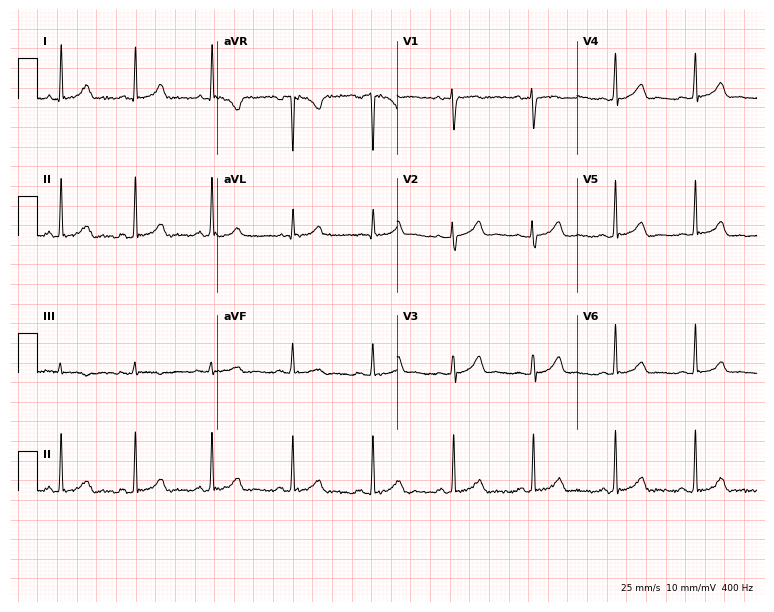
Resting 12-lead electrocardiogram. Patient: a female, 37 years old. Read as a normal ECG.